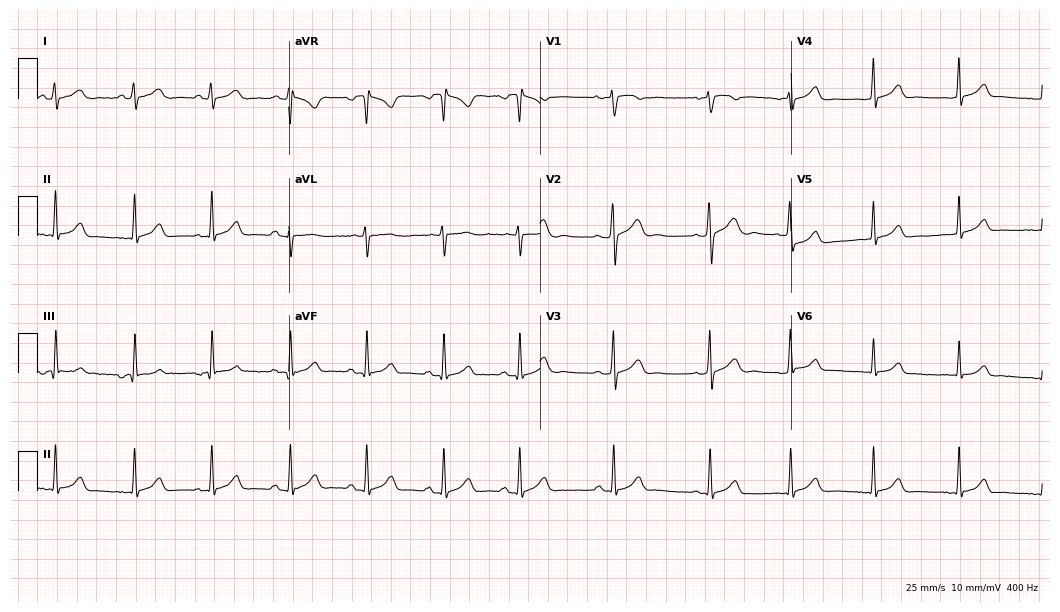
Resting 12-lead electrocardiogram (10.2-second recording at 400 Hz). Patient: a woman, 21 years old. None of these six findings is recorded: first-degree AV block, right bundle branch block, left bundle branch block, sinus bradycardia, atrial fibrillation, sinus tachycardia.